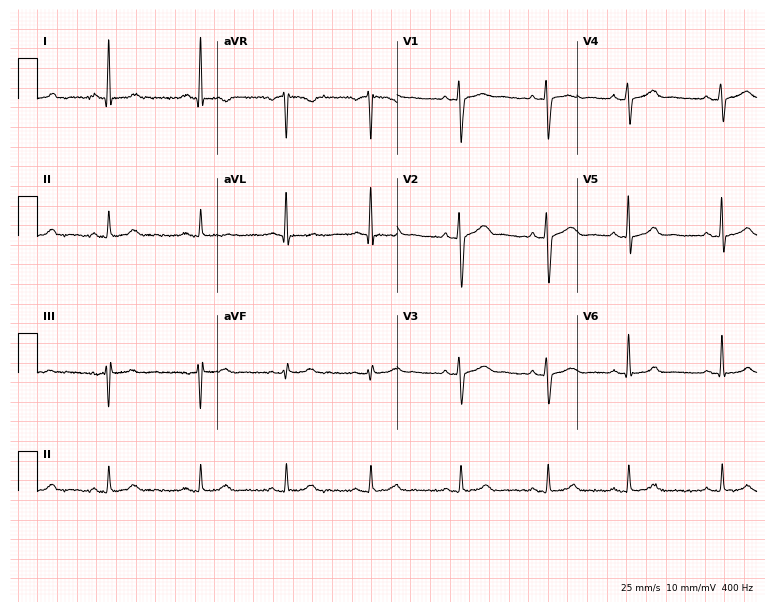
12-lead ECG from a 38-year-old female (7.3-second recording at 400 Hz). Recorded interpretation: within normal limits.